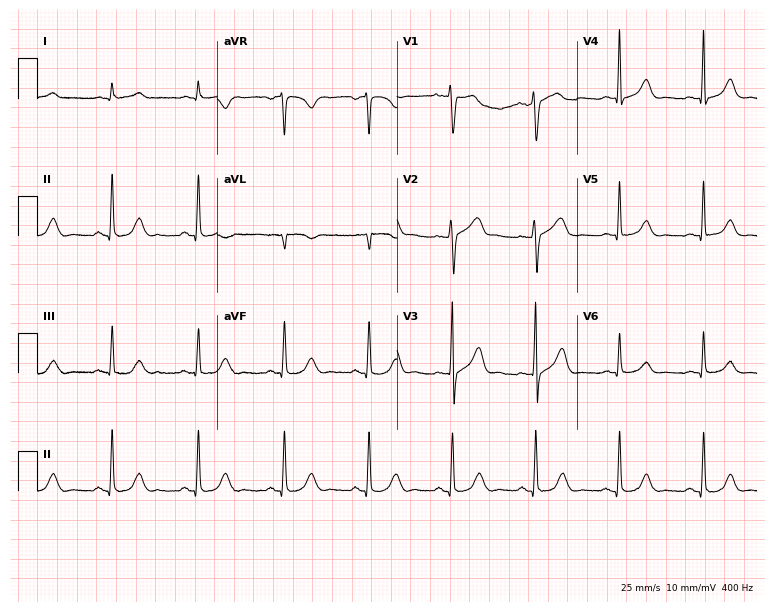
Electrocardiogram, a male, 51 years old. Of the six screened findings (first-degree AV block, right bundle branch block (RBBB), left bundle branch block (LBBB), sinus bradycardia, atrial fibrillation (AF), sinus tachycardia), none is recorded.